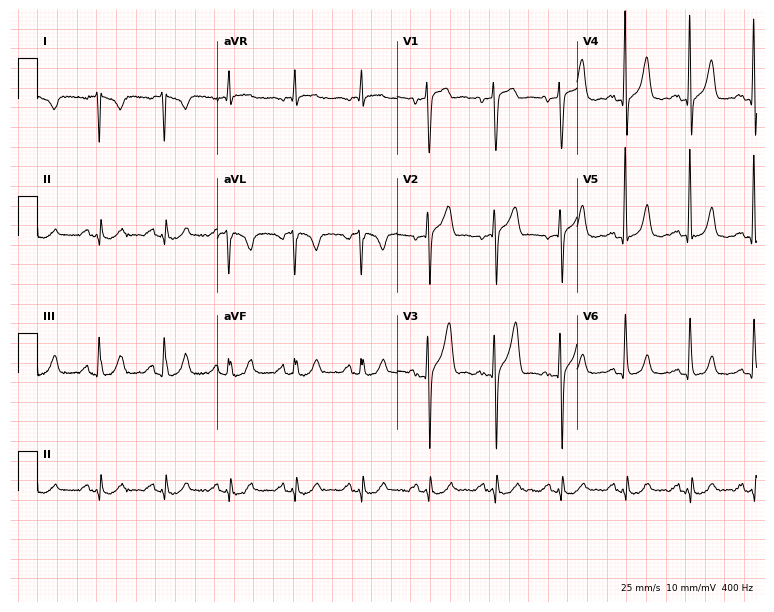
ECG (7.3-second recording at 400 Hz) — a 58-year-old male patient. Screened for six findings — first-degree AV block, right bundle branch block, left bundle branch block, sinus bradycardia, atrial fibrillation, sinus tachycardia — none is recorded.